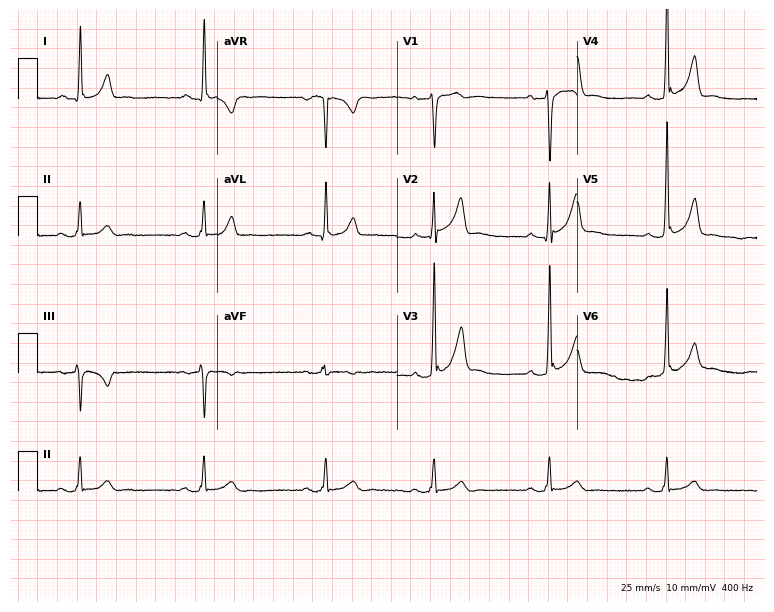
12-lead ECG from a man, 36 years old. Findings include sinus bradycardia (a sinus rate of 50 beats per minute or less).